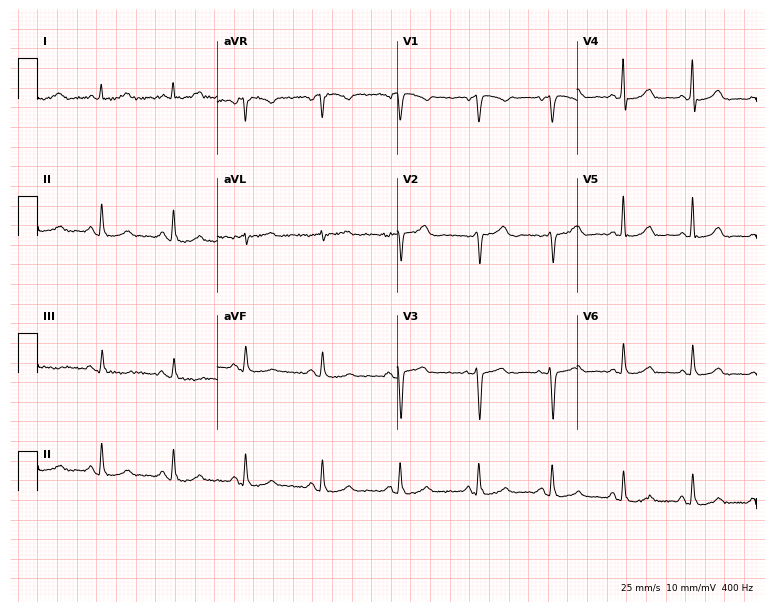
12-lead ECG from a female patient, 54 years old. No first-degree AV block, right bundle branch block (RBBB), left bundle branch block (LBBB), sinus bradycardia, atrial fibrillation (AF) or sinus tachycardia recorded for this tracing. Findings outside these six are not listed.